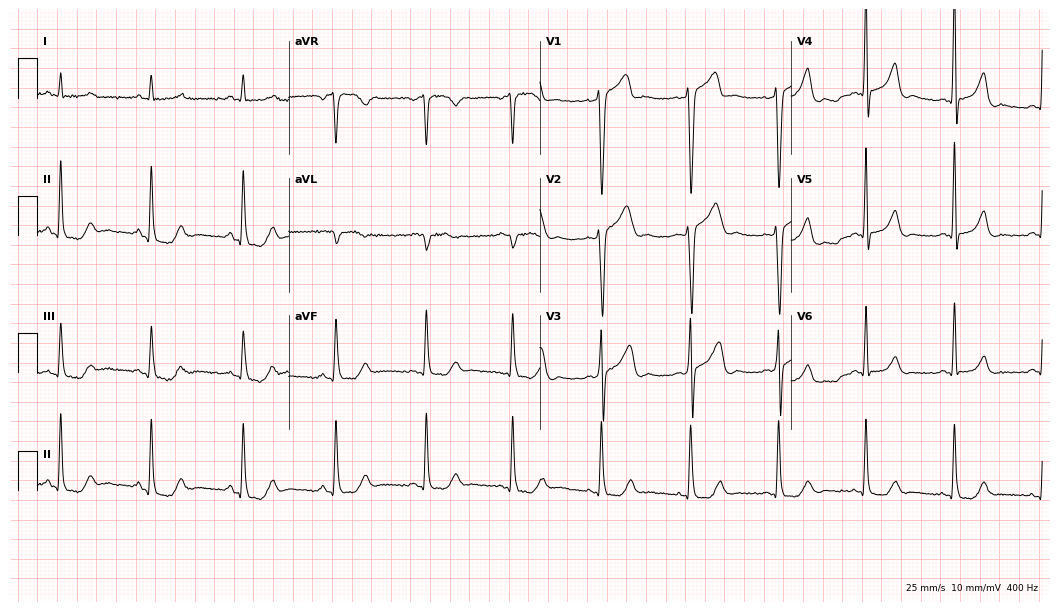
12-lead ECG from a 54-year-old male. Screened for six findings — first-degree AV block, right bundle branch block, left bundle branch block, sinus bradycardia, atrial fibrillation, sinus tachycardia — none is recorded.